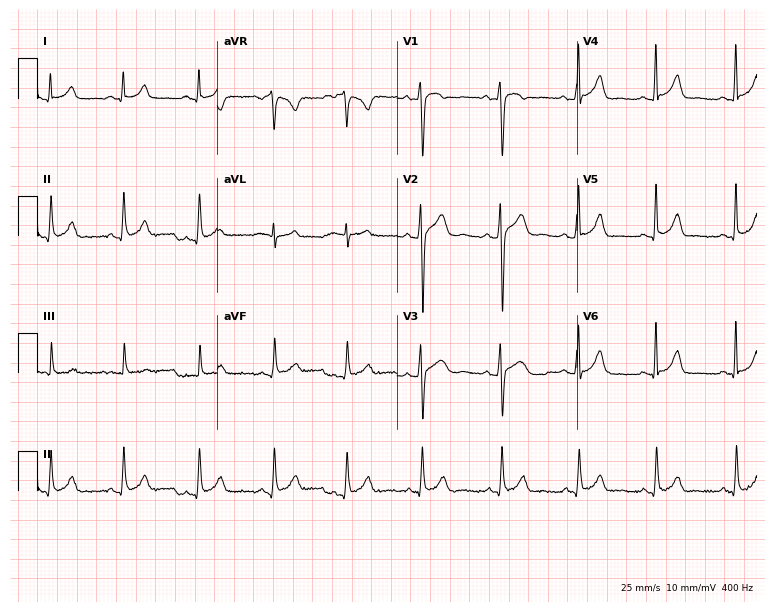
ECG (7.3-second recording at 400 Hz) — a male patient, 27 years old. Labelled as a normal ECG.